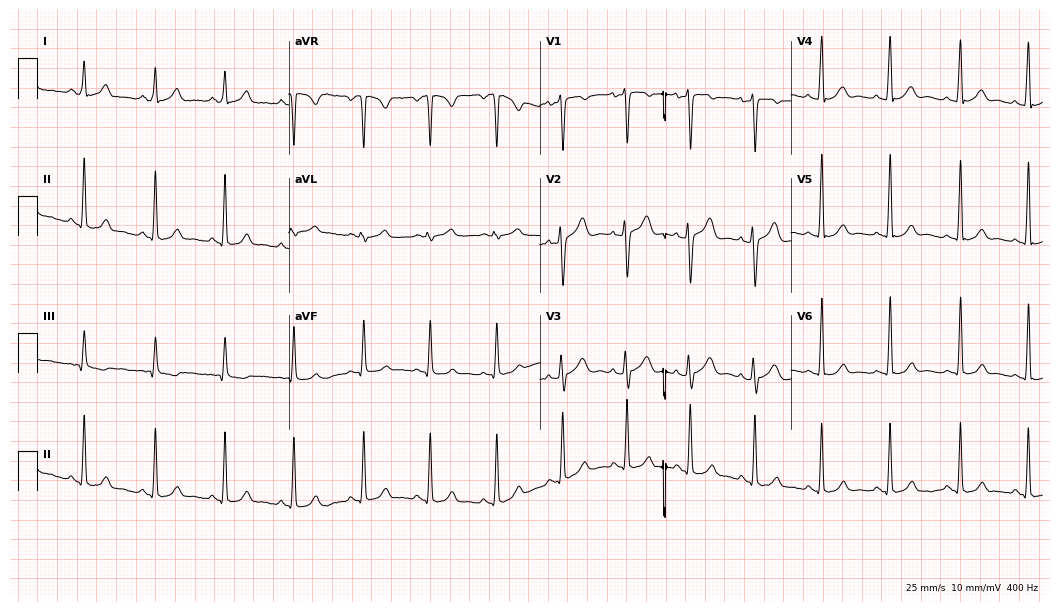
12-lead ECG (10.2-second recording at 400 Hz) from a female, 21 years old. Labelled as a normal ECG.